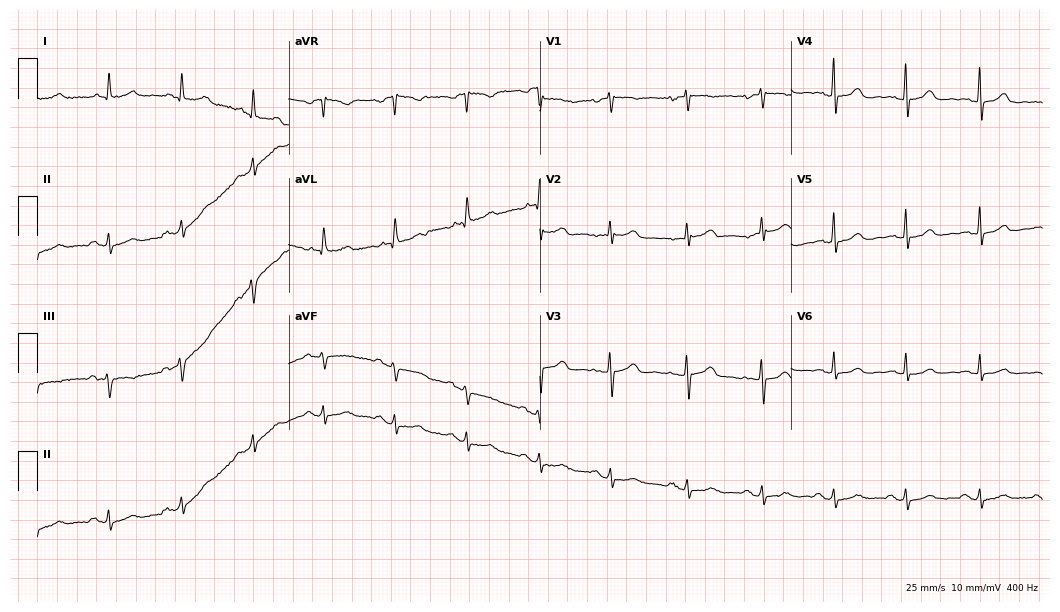
Resting 12-lead electrocardiogram (10.2-second recording at 400 Hz). Patient: a female, 55 years old. Read as a normal ECG.